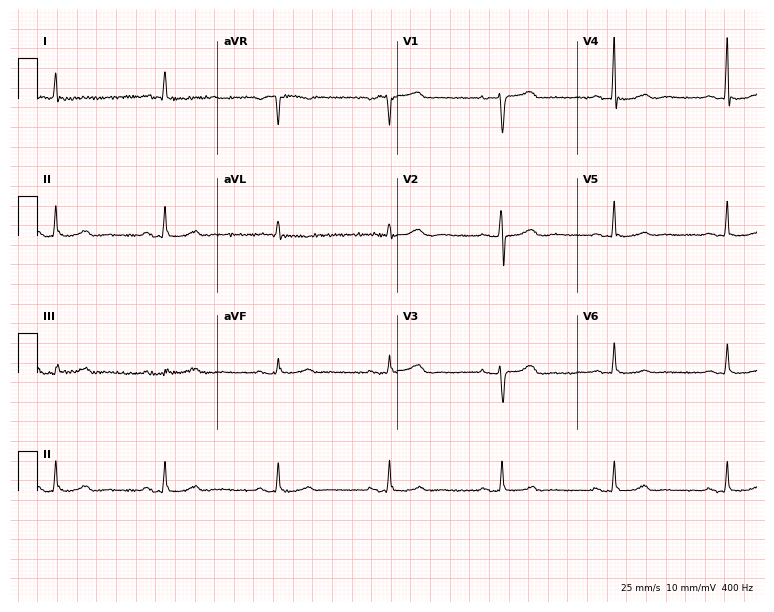
ECG — a 74-year-old female. Screened for six findings — first-degree AV block, right bundle branch block, left bundle branch block, sinus bradycardia, atrial fibrillation, sinus tachycardia — none is recorded.